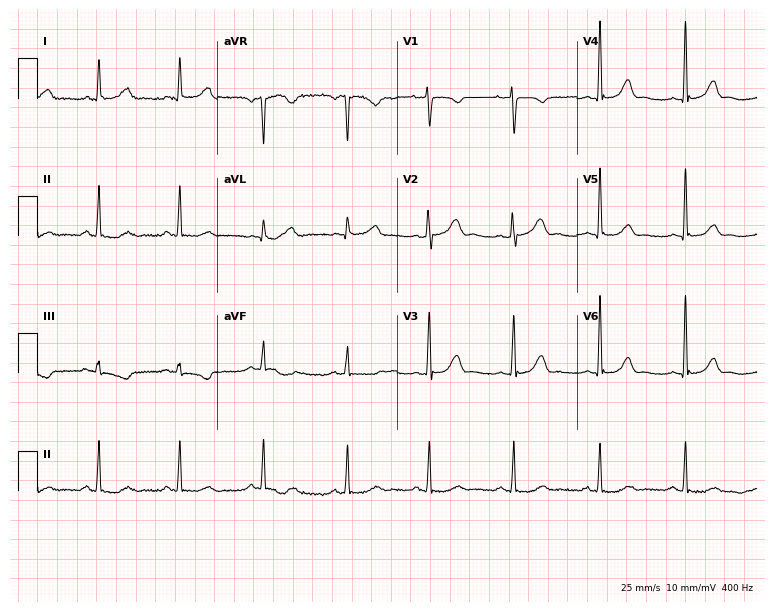
12-lead ECG from a 60-year-old female patient. No first-degree AV block, right bundle branch block, left bundle branch block, sinus bradycardia, atrial fibrillation or sinus tachycardia recorded for this tracing. Other findings, if any, are not listed.